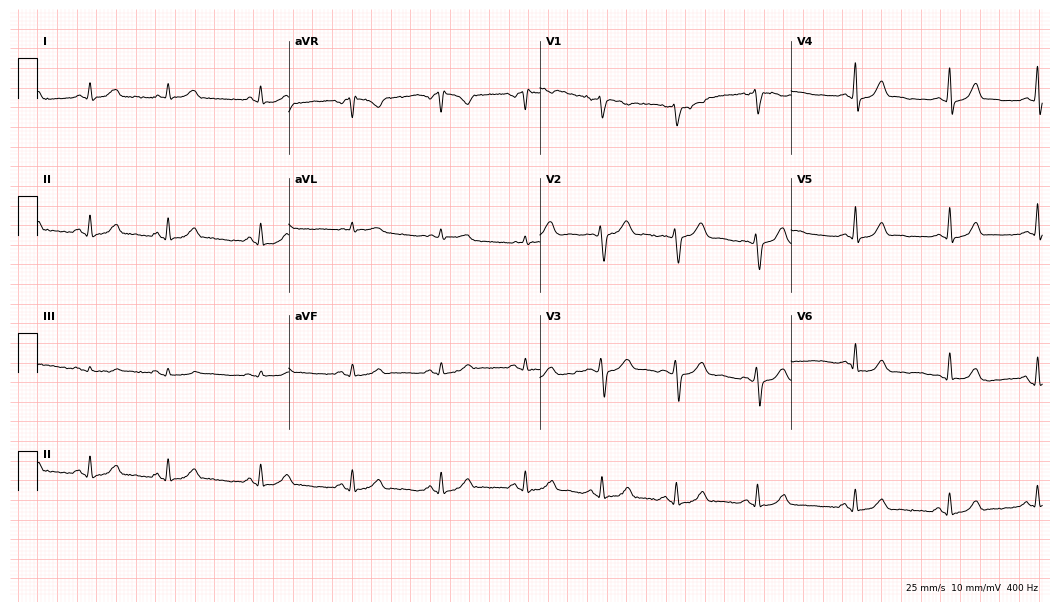
12-lead ECG (10.2-second recording at 400 Hz) from a 28-year-old female patient. Labelled as a normal ECG.